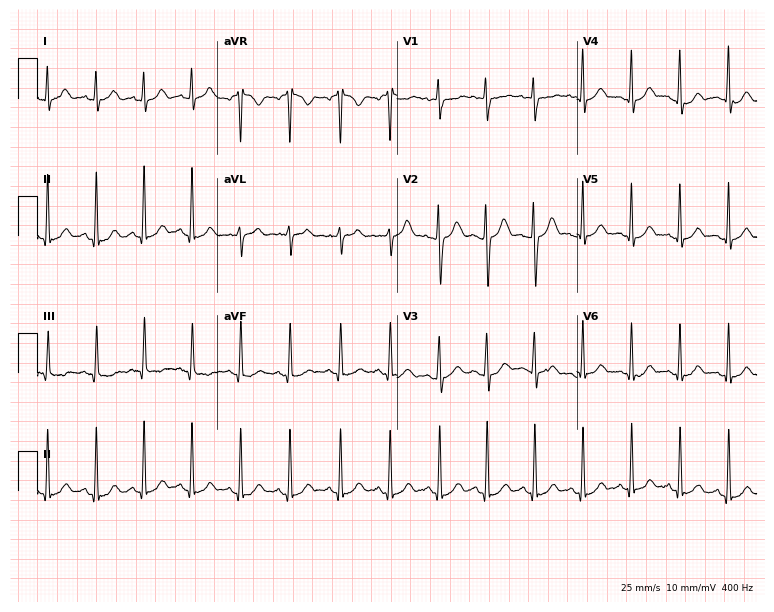
12-lead ECG from a 17-year-old female patient. Findings include sinus tachycardia (a sinus rate of 100 beats per minute or more).